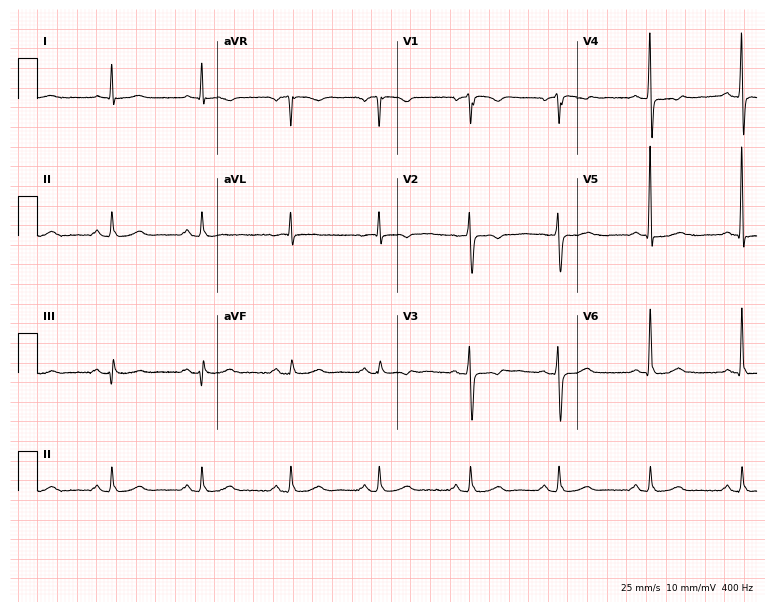
12-lead ECG from a 66-year-old male patient. No first-degree AV block, right bundle branch block, left bundle branch block, sinus bradycardia, atrial fibrillation or sinus tachycardia recorded for this tracing. Other findings, if any, are not listed.